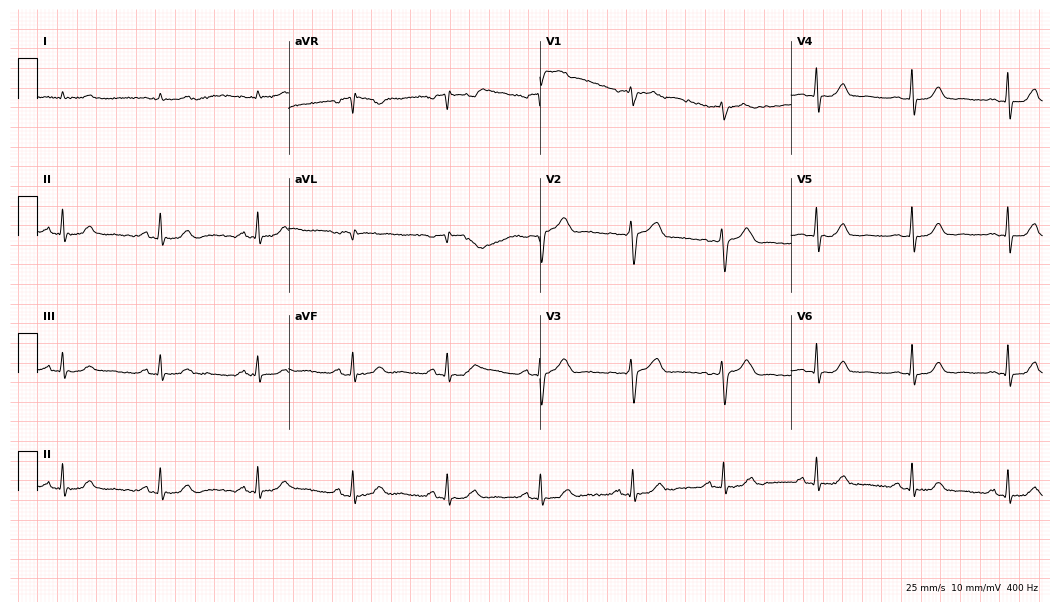
ECG — a male, 60 years old. Labelled as a normal ECG.